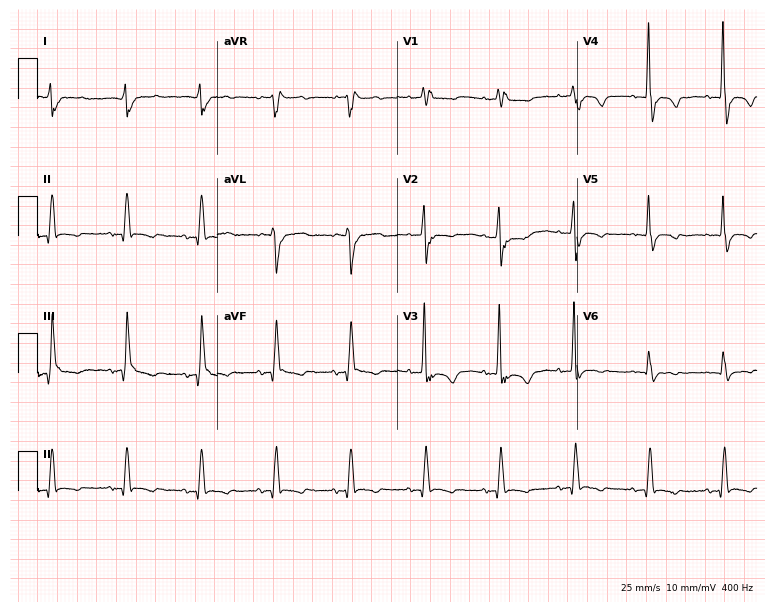
12-lead ECG from a 77-year-old female. Findings include right bundle branch block (RBBB).